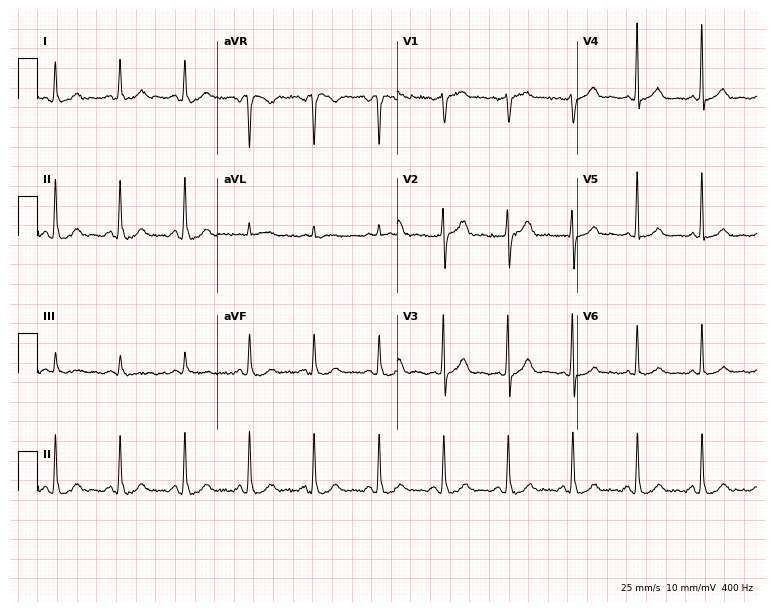
Electrocardiogram (7.3-second recording at 400 Hz), a male, 78 years old. Of the six screened findings (first-degree AV block, right bundle branch block, left bundle branch block, sinus bradycardia, atrial fibrillation, sinus tachycardia), none is recorded. Only these six findings were labelled.